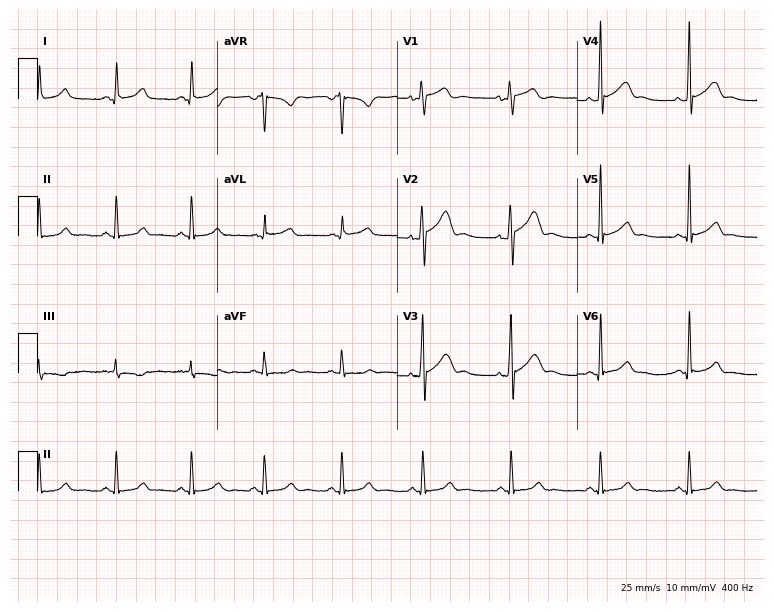
Electrocardiogram (7.3-second recording at 400 Hz), a woman, 29 years old. Overall reading on record: normal ECG.